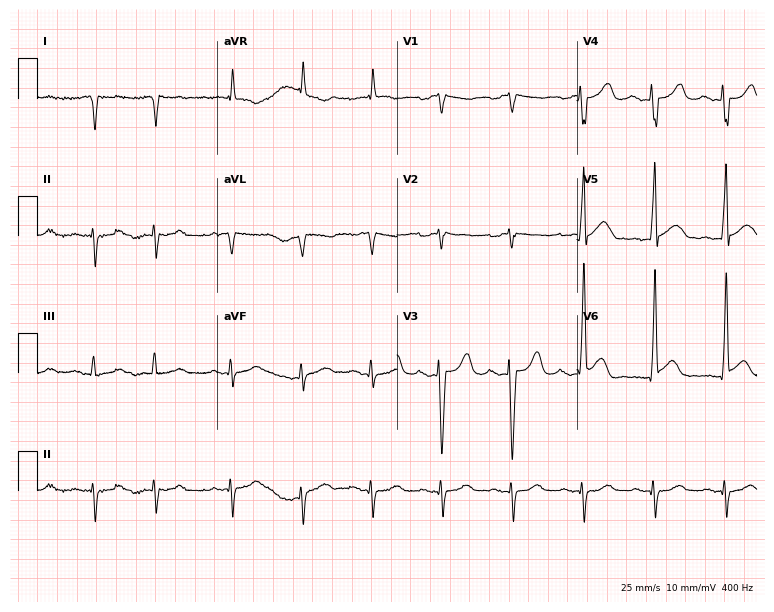
Resting 12-lead electrocardiogram (7.3-second recording at 400 Hz). Patient: a 50-year-old male. None of these six findings is recorded: first-degree AV block, right bundle branch block, left bundle branch block, sinus bradycardia, atrial fibrillation, sinus tachycardia.